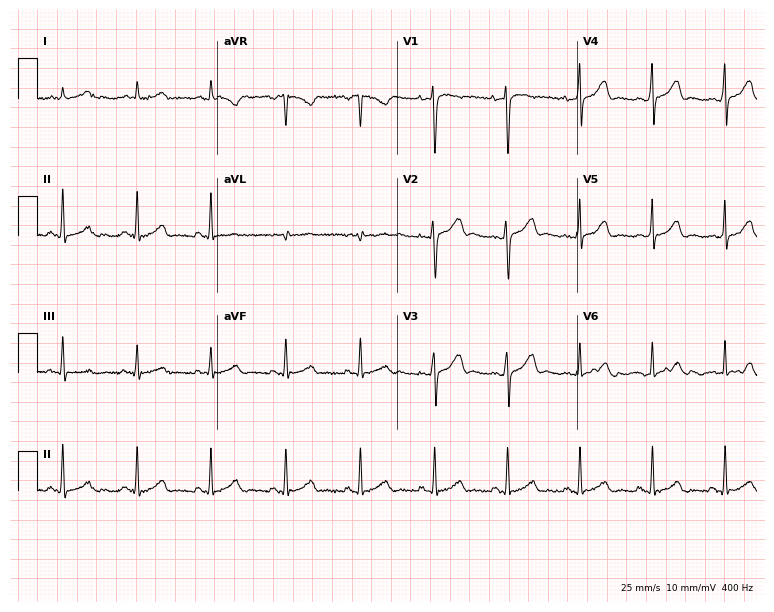
Standard 12-lead ECG recorded from a woman, 44 years old. Read as a normal ECG.